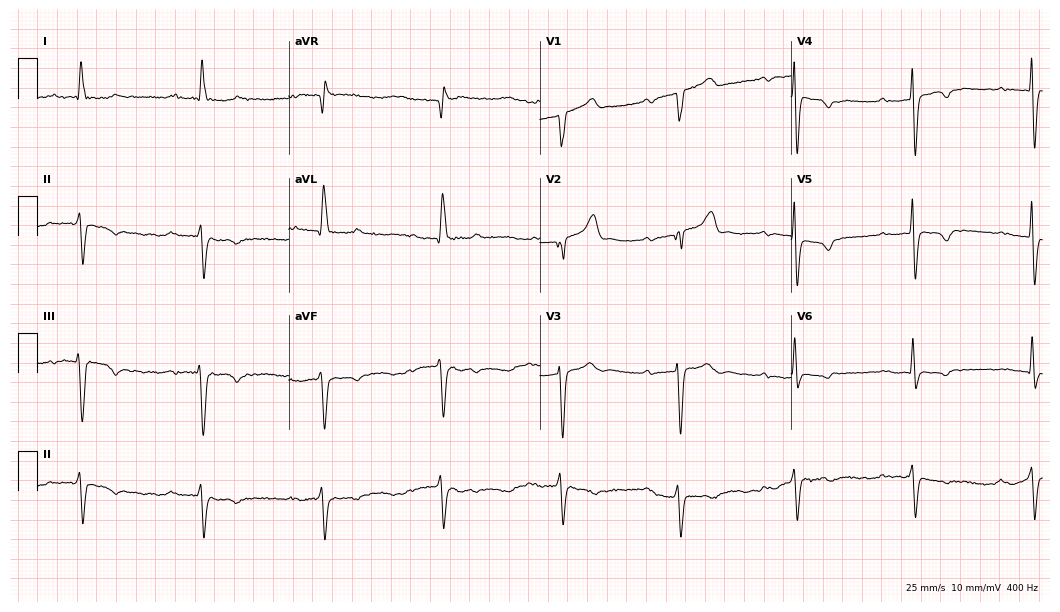
Resting 12-lead electrocardiogram (10.2-second recording at 400 Hz). Patient: a 67-year-old male. None of these six findings is recorded: first-degree AV block, right bundle branch block, left bundle branch block, sinus bradycardia, atrial fibrillation, sinus tachycardia.